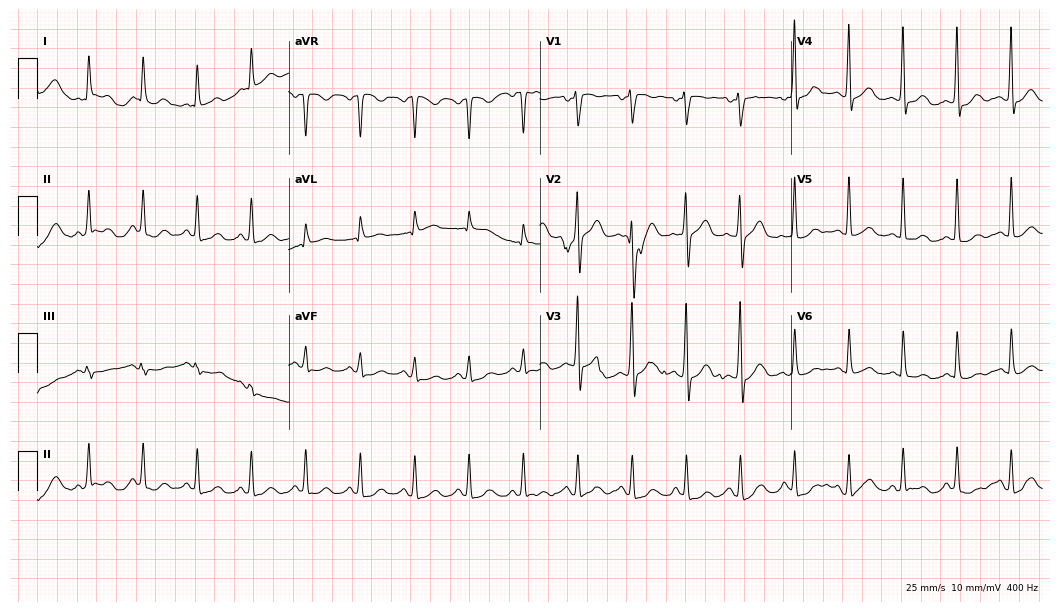
Electrocardiogram, a 40-year-old male patient. Interpretation includes sinus tachycardia (a sinus rate of 100 beats per minute or more).